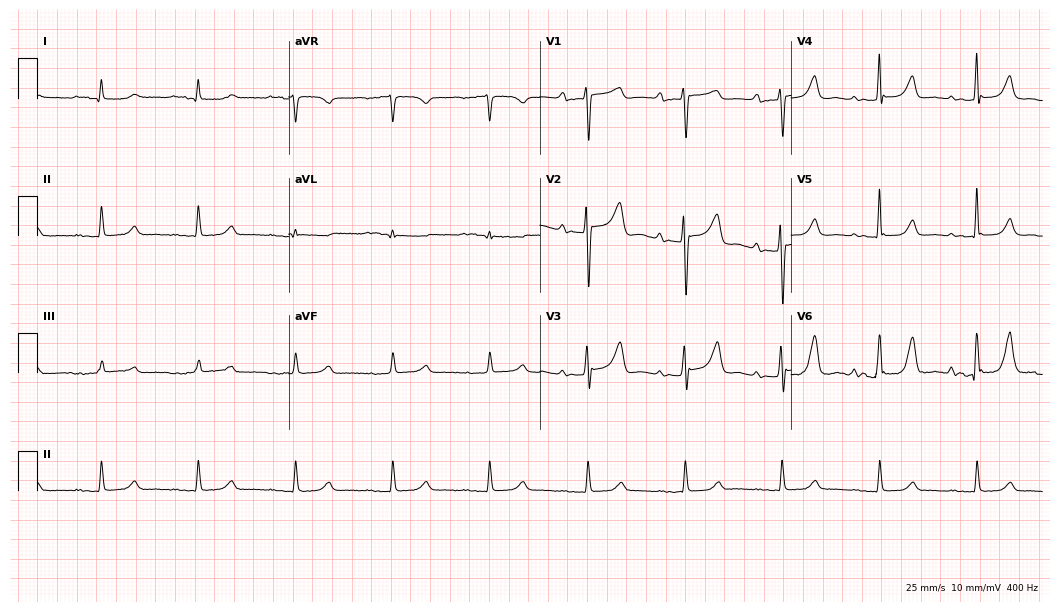
Resting 12-lead electrocardiogram. Patient: a woman, 43 years old. Read as a normal ECG.